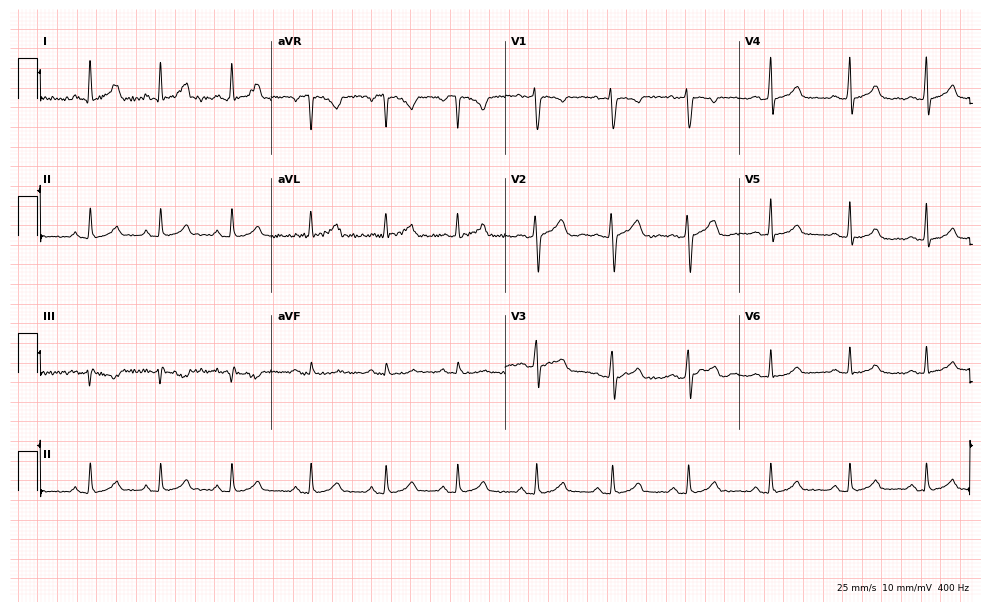
Resting 12-lead electrocardiogram (9.5-second recording at 400 Hz). Patient: a female, 24 years old. Read as a normal ECG.